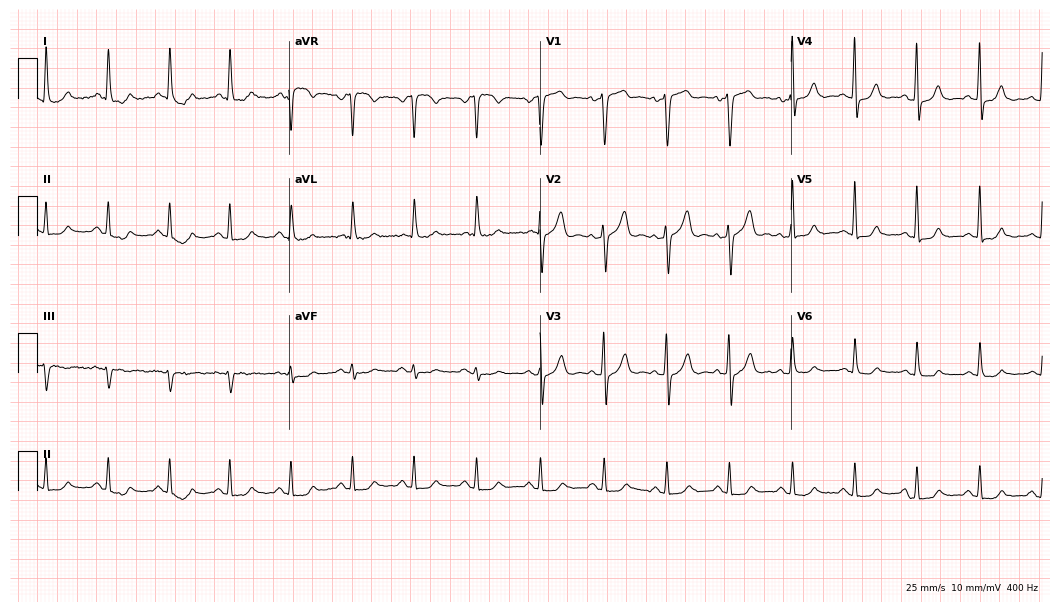
12-lead ECG from an 80-year-old male patient. No first-degree AV block, right bundle branch block (RBBB), left bundle branch block (LBBB), sinus bradycardia, atrial fibrillation (AF) or sinus tachycardia recorded for this tracing. Findings outside these six are not listed.